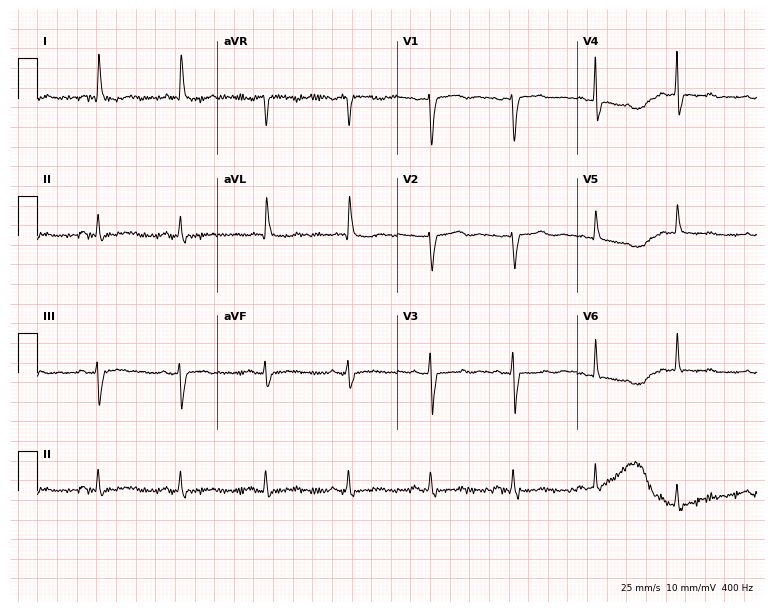
Standard 12-lead ECG recorded from a 70-year-old female patient (7.3-second recording at 400 Hz). None of these six findings is recorded: first-degree AV block, right bundle branch block, left bundle branch block, sinus bradycardia, atrial fibrillation, sinus tachycardia. Findings outside these six are not listed.